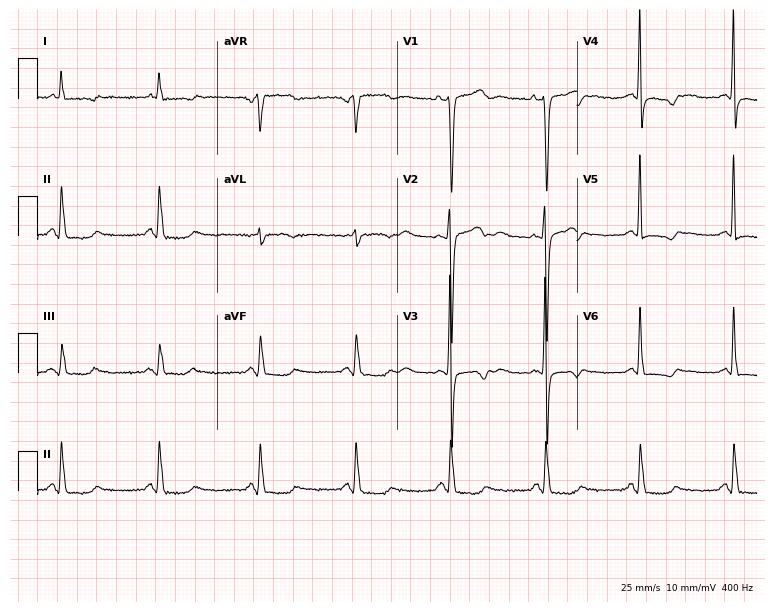
Resting 12-lead electrocardiogram (7.3-second recording at 400 Hz). Patient: a female, 61 years old. None of these six findings is recorded: first-degree AV block, right bundle branch block, left bundle branch block, sinus bradycardia, atrial fibrillation, sinus tachycardia. Other findings, if any, are not listed.